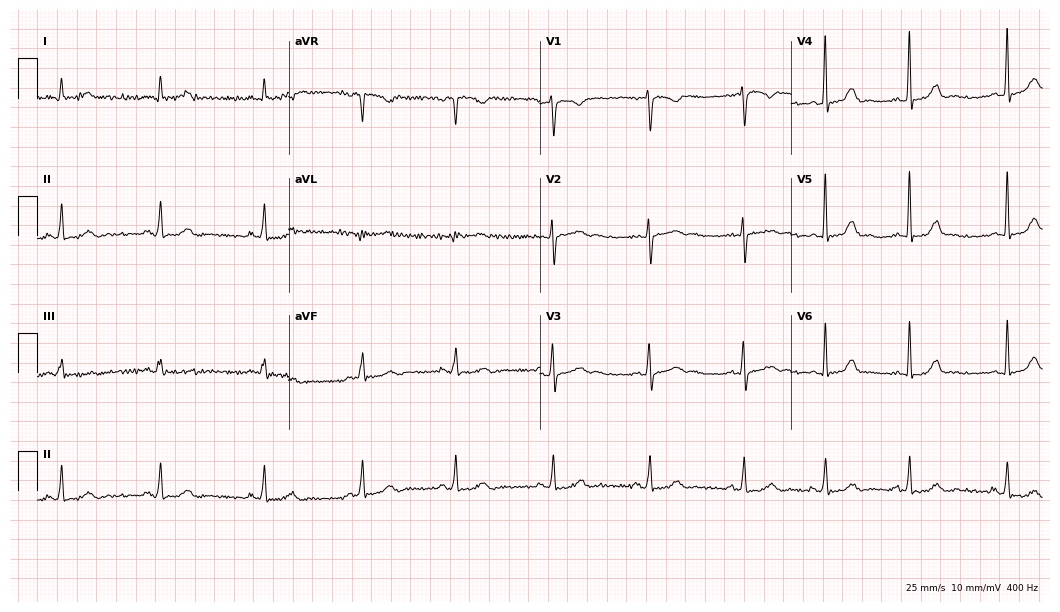
ECG — a female patient, 34 years old. Labelled as a normal ECG.